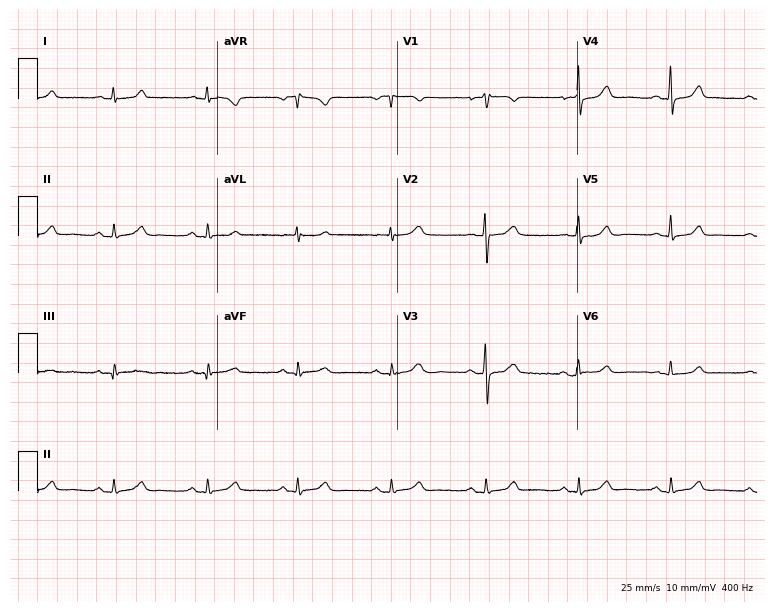
12-lead ECG from a female, 57 years old. Recorded interpretation: within normal limits.